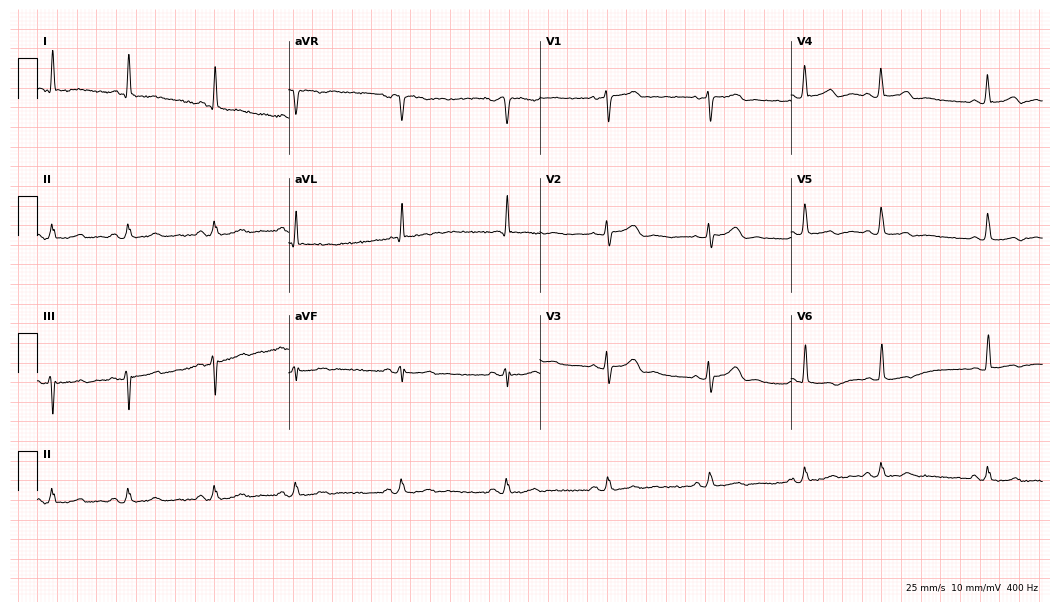
12-lead ECG from a 71-year-old female (10.2-second recording at 400 Hz). No first-degree AV block, right bundle branch block, left bundle branch block, sinus bradycardia, atrial fibrillation or sinus tachycardia recorded for this tracing.